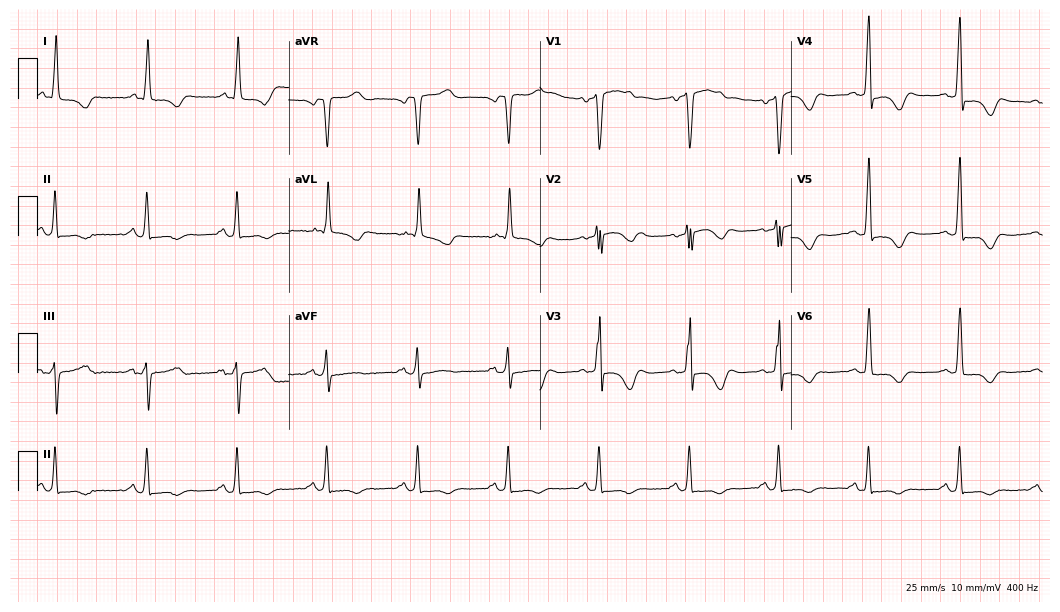
ECG — a 70-year-old male patient. Screened for six findings — first-degree AV block, right bundle branch block (RBBB), left bundle branch block (LBBB), sinus bradycardia, atrial fibrillation (AF), sinus tachycardia — none is recorded.